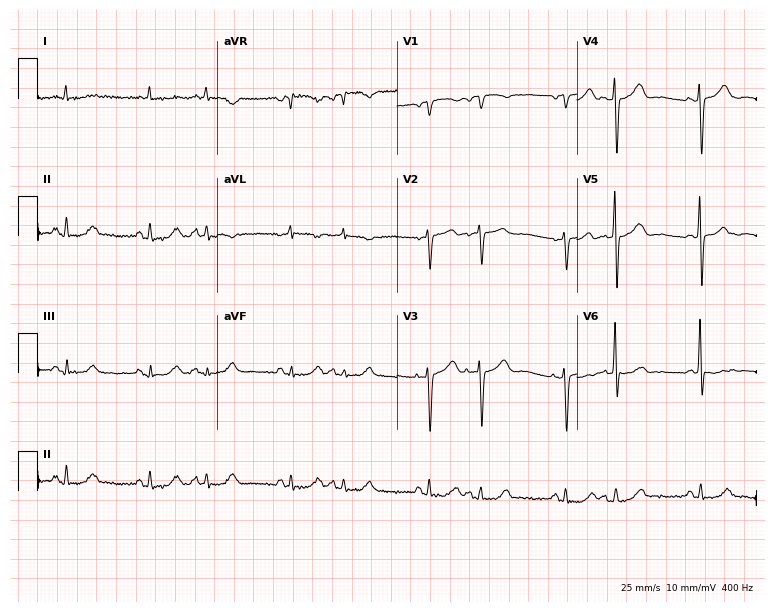
Standard 12-lead ECG recorded from a woman, 73 years old (7.3-second recording at 400 Hz). None of these six findings is recorded: first-degree AV block, right bundle branch block (RBBB), left bundle branch block (LBBB), sinus bradycardia, atrial fibrillation (AF), sinus tachycardia.